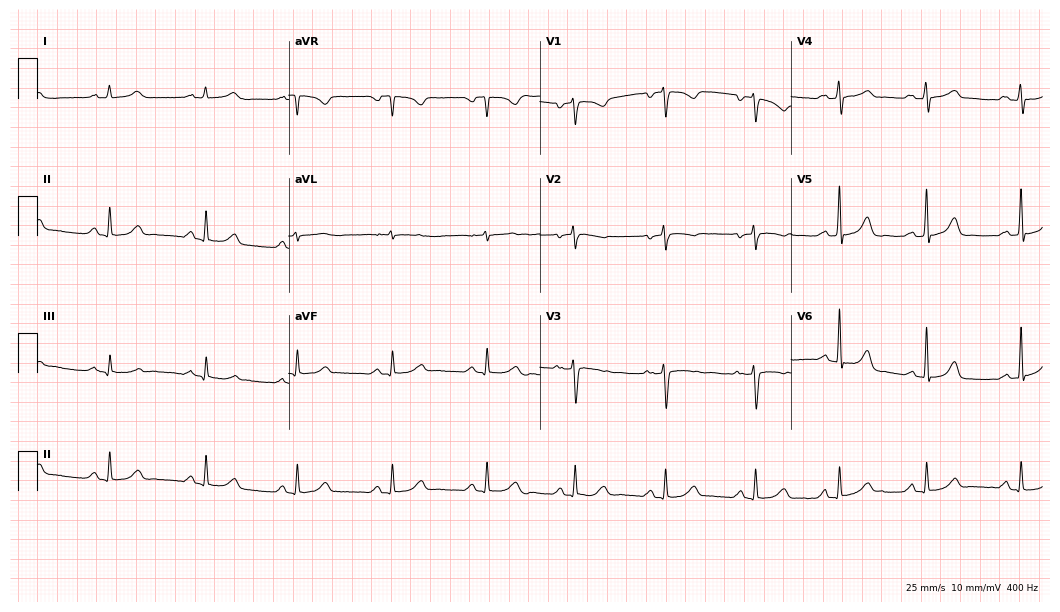
12-lead ECG from a 46-year-old female patient. Recorded interpretation: within normal limits.